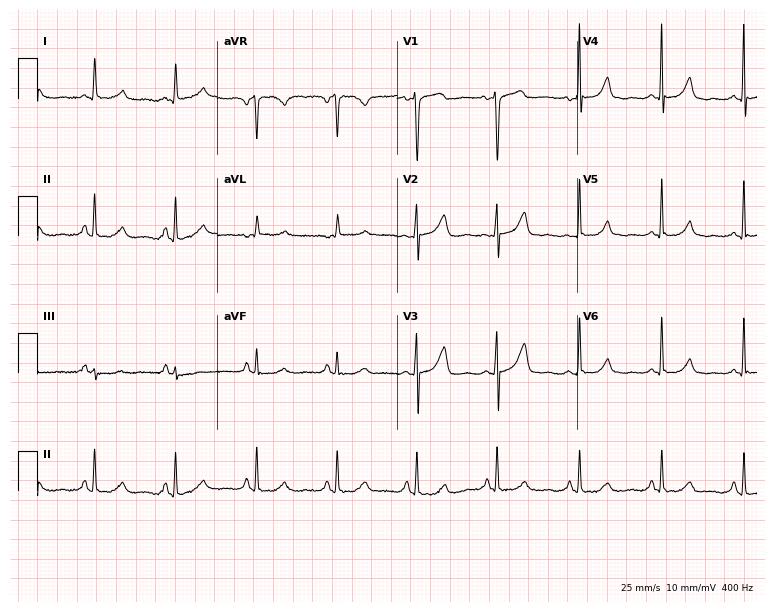
12-lead ECG from a 58-year-old woman. Recorded interpretation: within normal limits.